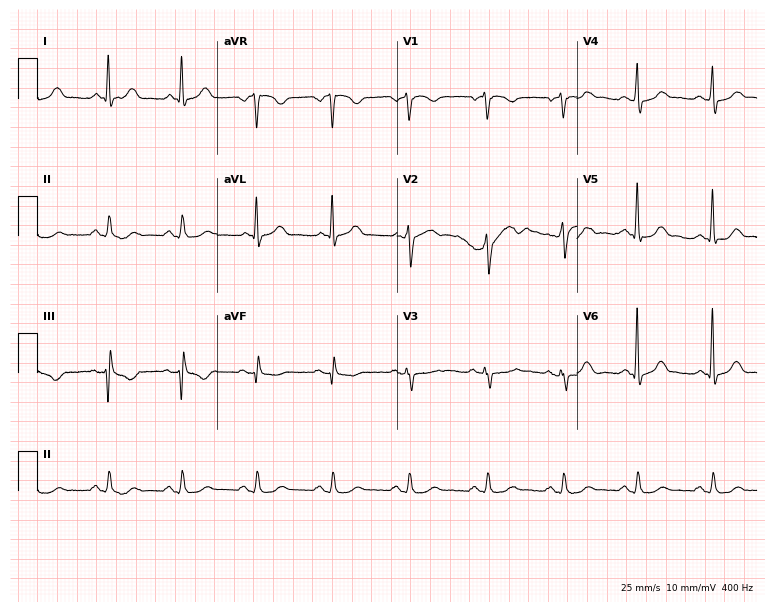
Resting 12-lead electrocardiogram (7.3-second recording at 400 Hz). Patient: a 57-year-old male. Read as a normal ECG.